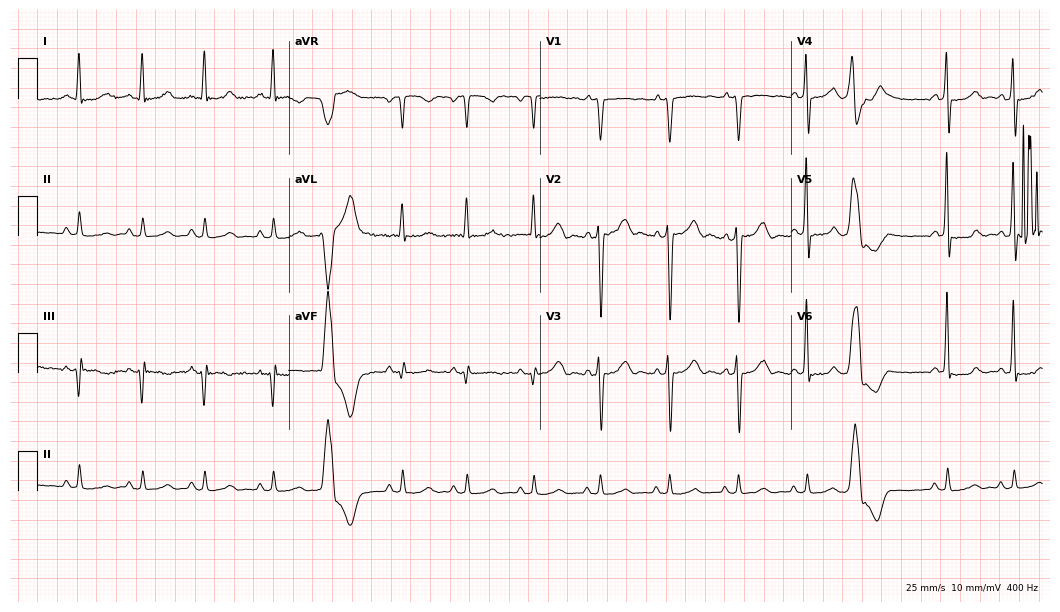
12-lead ECG from a man, 65 years old. Screened for six findings — first-degree AV block, right bundle branch block (RBBB), left bundle branch block (LBBB), sinus bradycardia, atrial fibrillation (AF), sinus tachycardia — none is recorded.